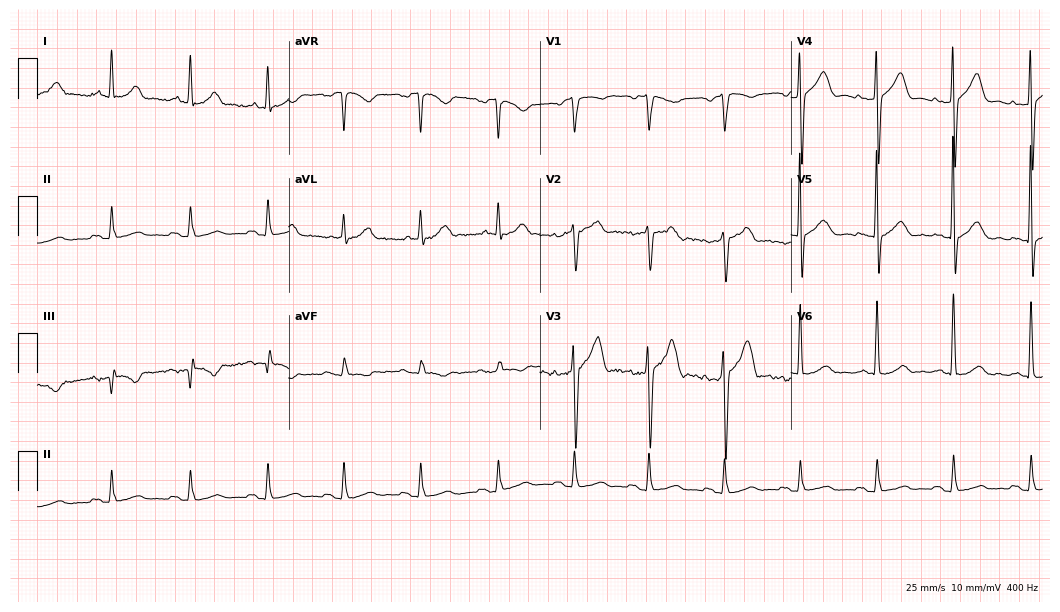
Standard 12-lead ECG recorded from a 65-year-old male patient. Read as a normal ECG.